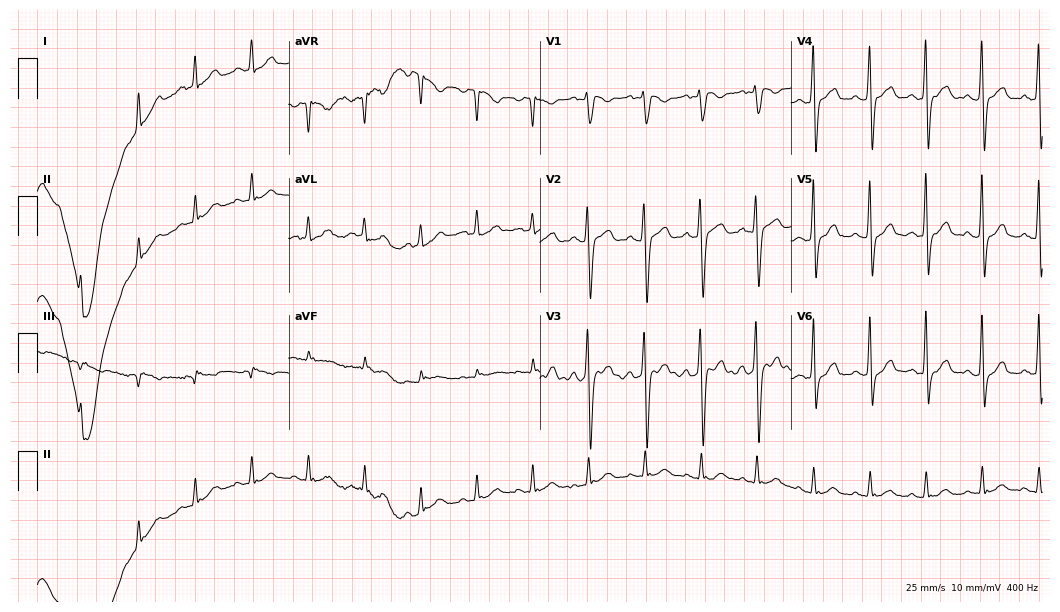
ECG — a male, 26 years old. Findings include sinus tachycardia (a sinus rate of 100 beats per minute or more).